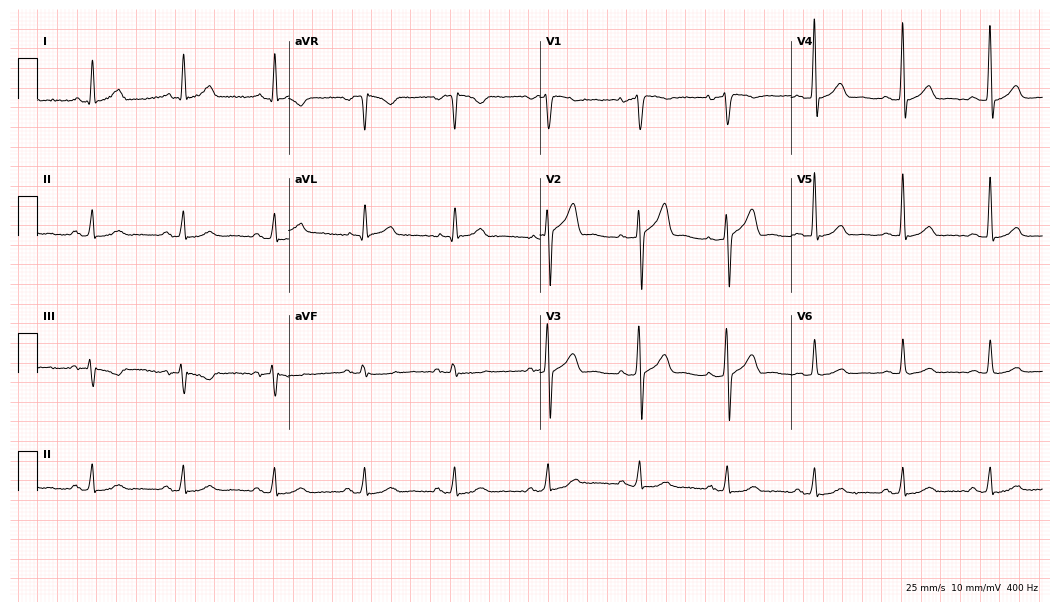
Resting 12-lead electrocardiogram (10.2-second recording at 400 Hz). Patient: a 54-year-old male. Read as a normal ECG.